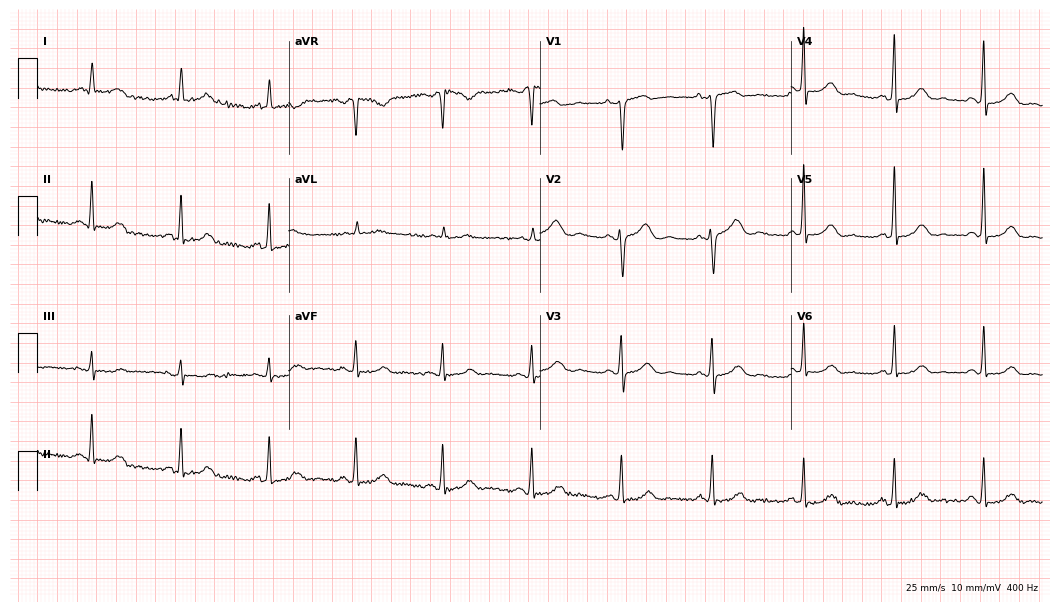
Resting 12-lead electrocardiogram. Patient: a woman, 75 years old. Read as a normal ECG.